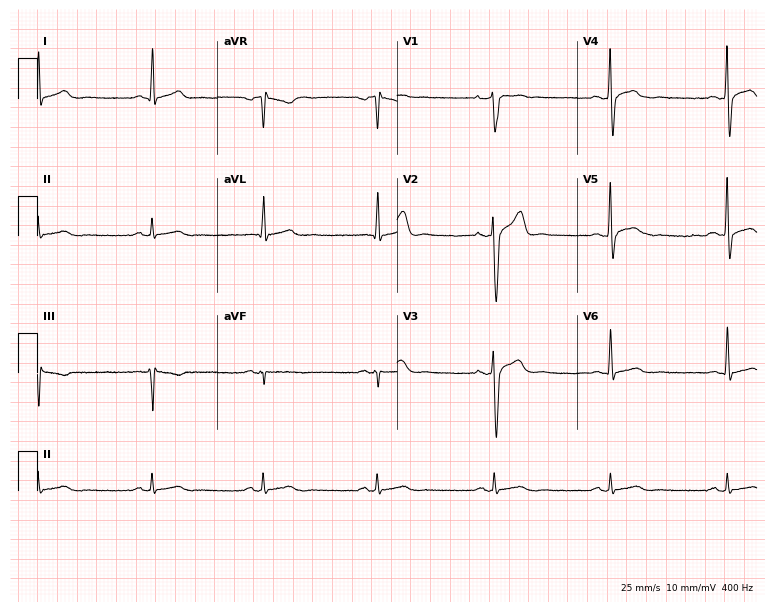
ECG (7.3-second recording at 400 Hz) — a 43-year-old man. Labelled as a normal ECG.